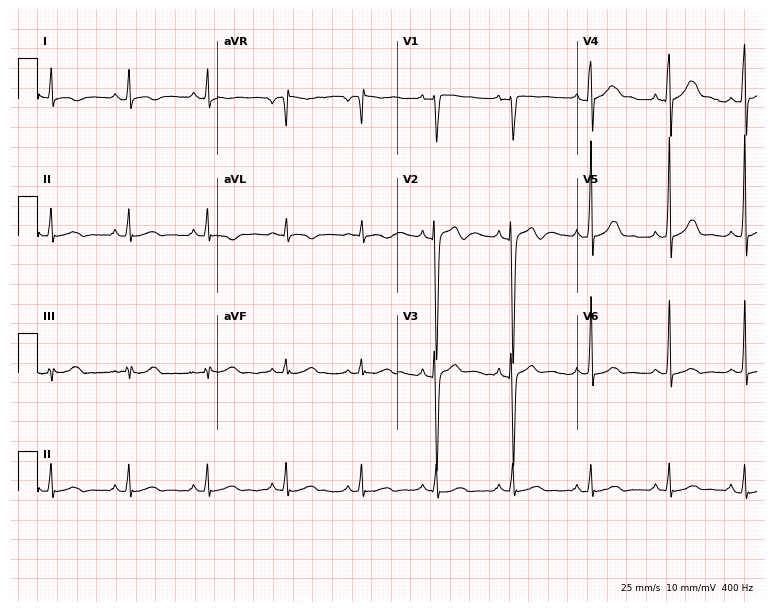
Electrocardiogram (7.3-second recording at 400 Hz), a male, 17 years old. Of the six screened findings (first-degree AV block, right bundle branch block, left bundle branch block, sinus bradycardia, atrial fibrillation, sinus tachycardia), none is recorded.